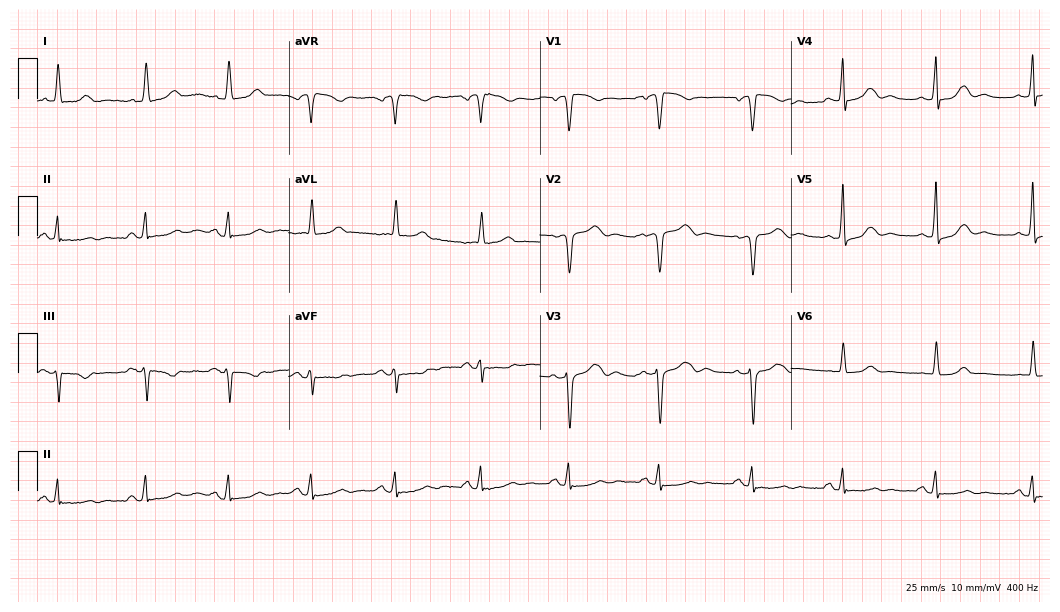
ECG — a woman, 67 years old. Screened for six findings — first-degree AV block, right bundle branch block, left bundle branch block, sinus bradycardia, atrial fibrillation, sinus tachycardia — none is recorded.